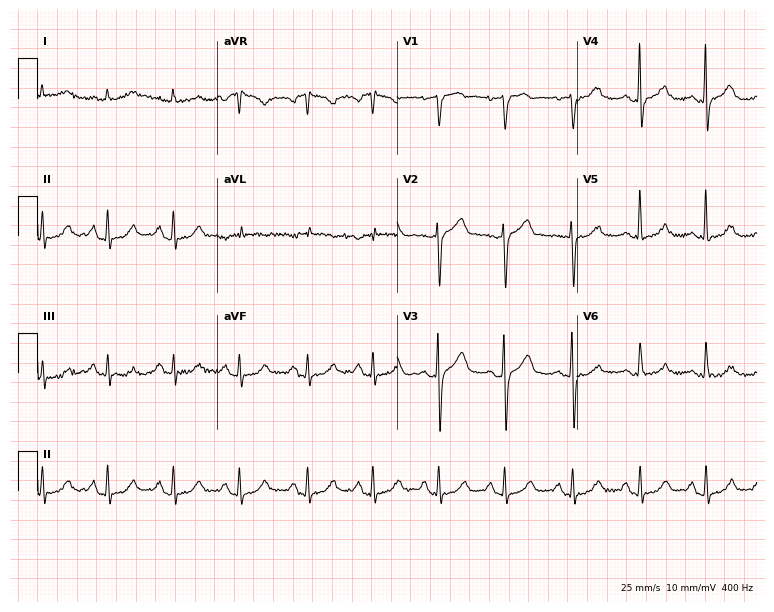
12-lead ECG (7.3-second recording at 400 Hz) from a 79-year-old male patient. Labelled as a normal ECG.